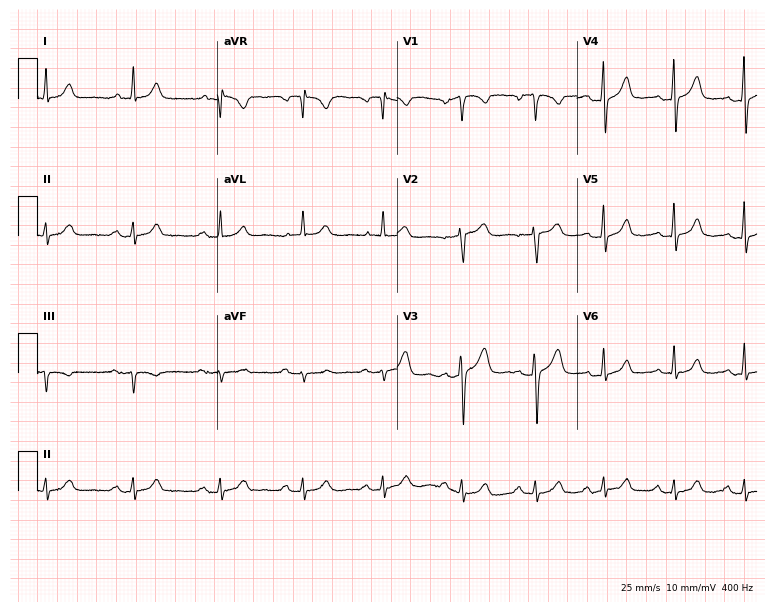
12-lead ECG (7.3-second recording at 400 Hz) from a 46-year-old male patient. Labelled as a normal ECG.